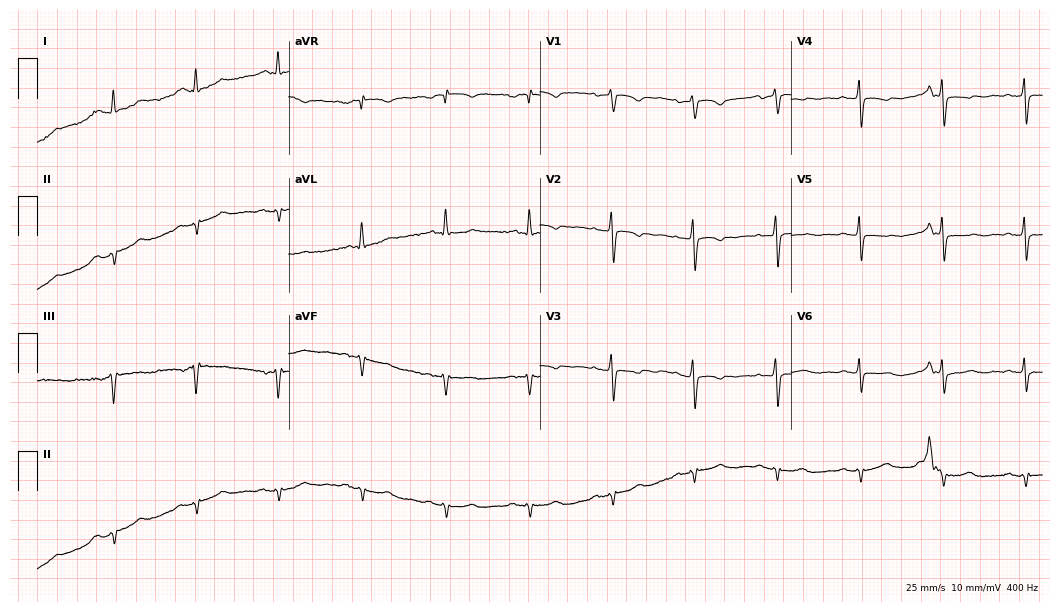
Resting 12-lead electrocardiogram. Patient: a female, 70 years old. None of these six findings is recorded: first-degree AV block, right bundle branch block, left bundle branch block, sinus bradycardia, atrial fibrillation, sinus tachycardia.